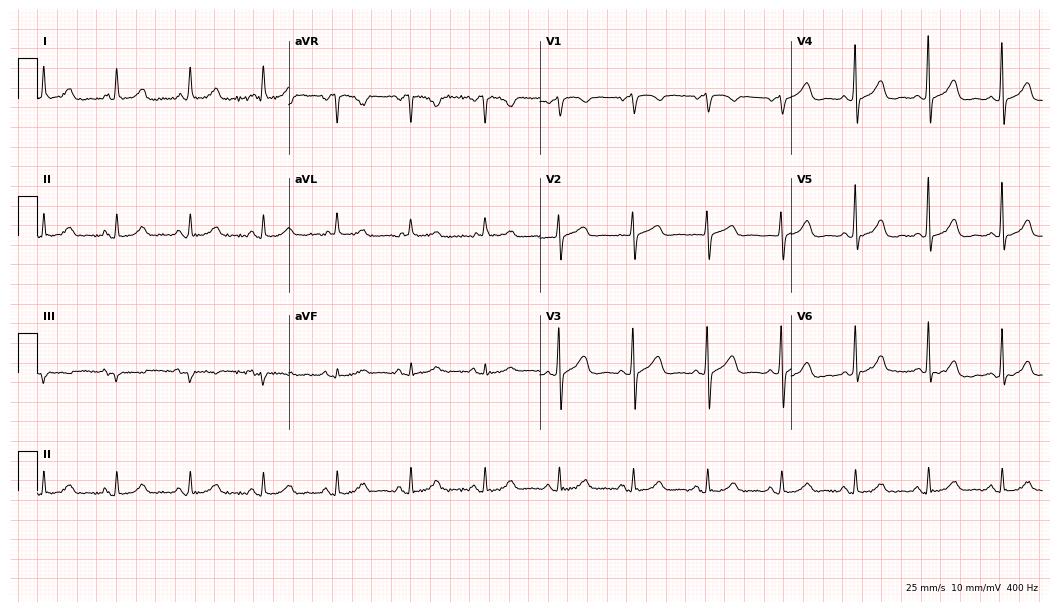
12-lead ECG from a 76-year-old woman (10.2-second recording at 400 Hz). Recorded interpretation: within normal limits.